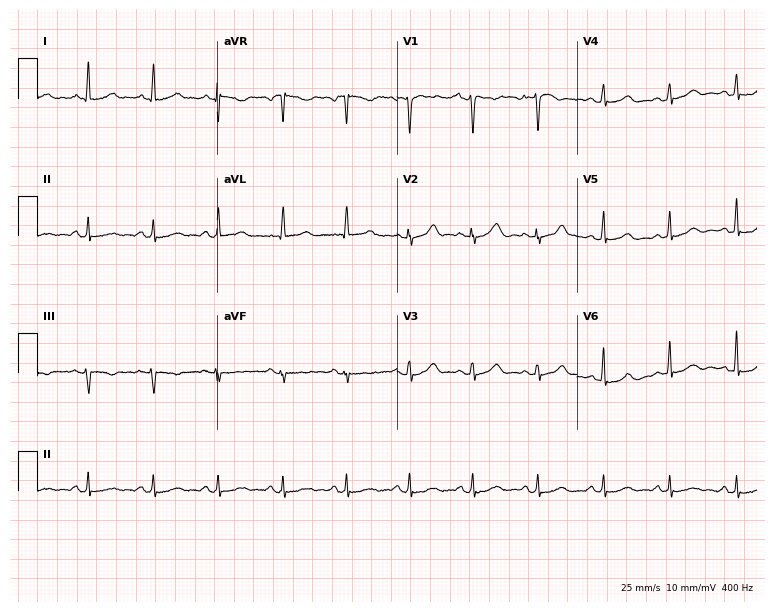
12-lead ECG (7.3-second recording at 400 Hz) from a woman, 54 years old. Labelled as a normal ECG.